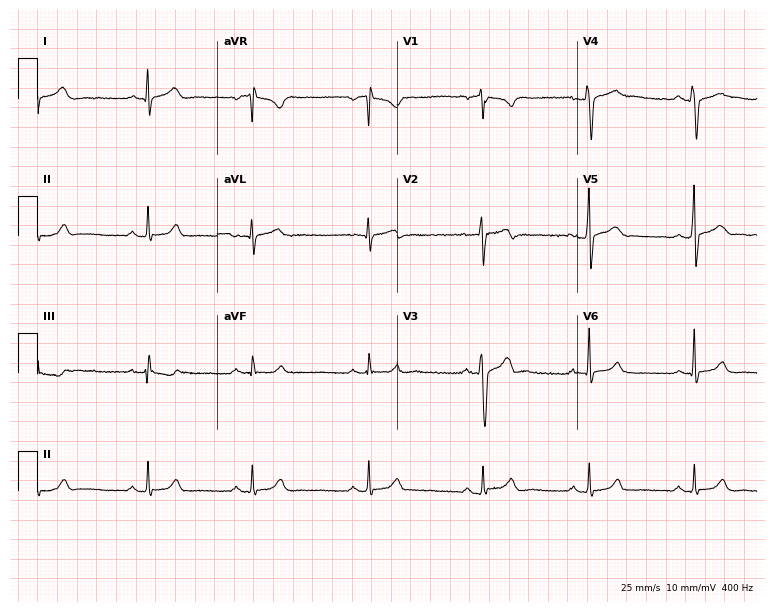
ECG (7.3-second recording at 400 Hz) — a man, 19 years old. Labelled as a normal ECG.